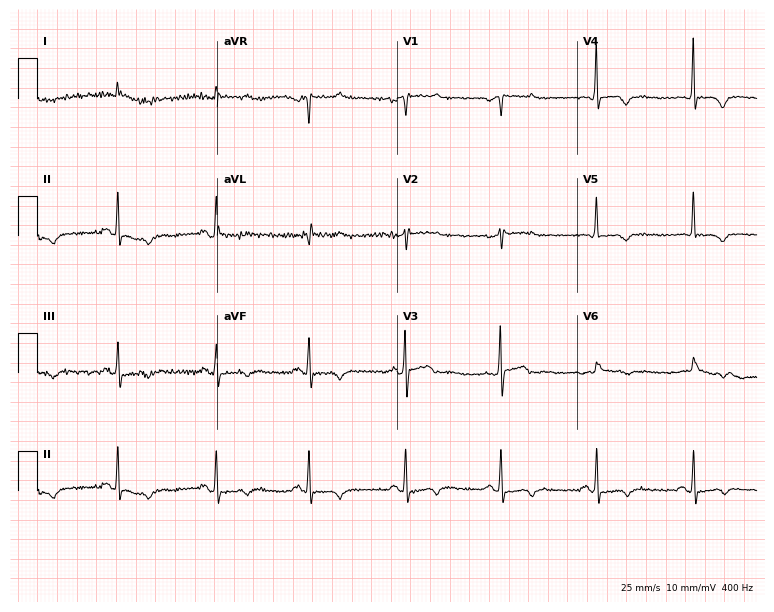
Resting 12-lead electrocardiogram (7.3-second recording at 400 Hz). Patient: a man, 78 years old. None of these six findings is recorded: first-degree AV block, right bundle branch block, left bundle branch block, sinus bradycardia, atrial fibrillation, sinus tachycardia. Only these six findings were labelled.